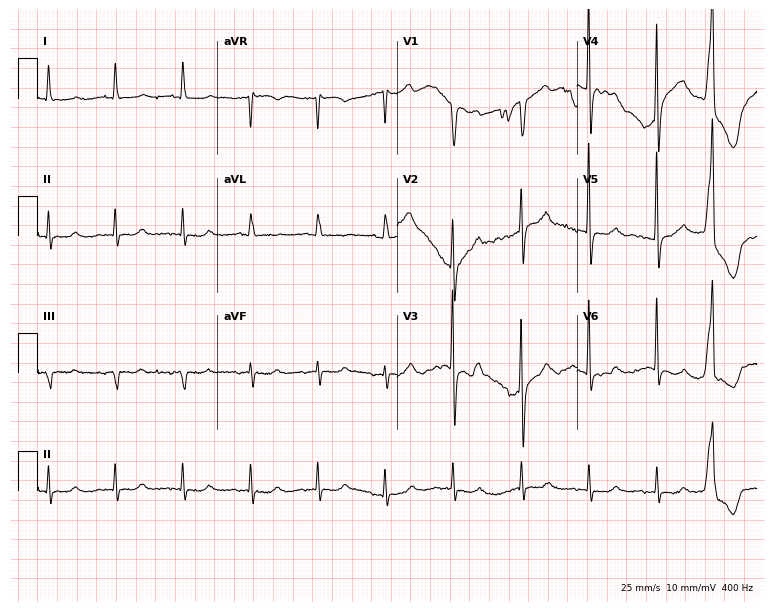
Standard 12-lead ECG recorded from a man, 81 years old (7.3-second recording at 400 Hz). None of these six findings is recorded: first-degree AV block, right bundle branch block (RBBB), left bundle branch block (LBBB), sinus bradycardia, atrial fibrillation (AF), sinus tachycardia.